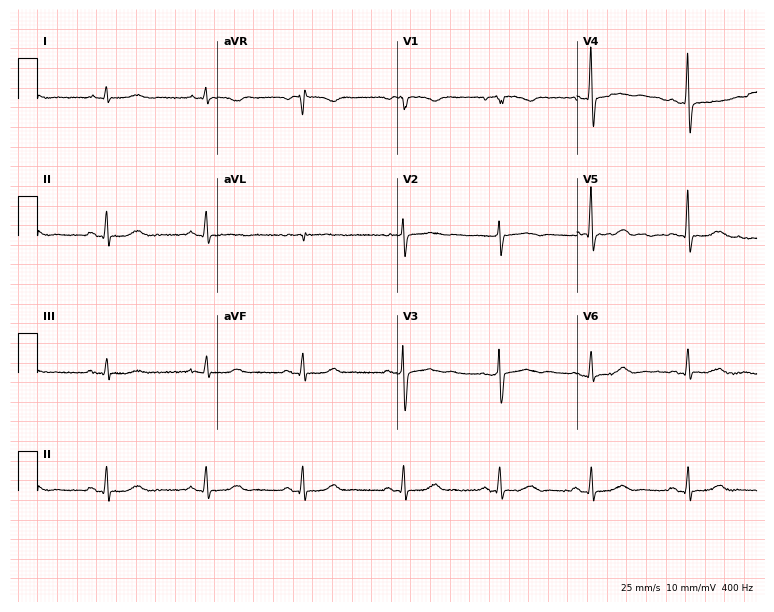
Resting 12-lead electrocardiogram (7.3-second recording at 400 Hz). Patient: a 70-year-old female. None of these six findings is recorded: first-degree AV block, right bundle branch block, left bundle branch block, sinus bradycardia, atrial fibrillation, sinus tachycardia.